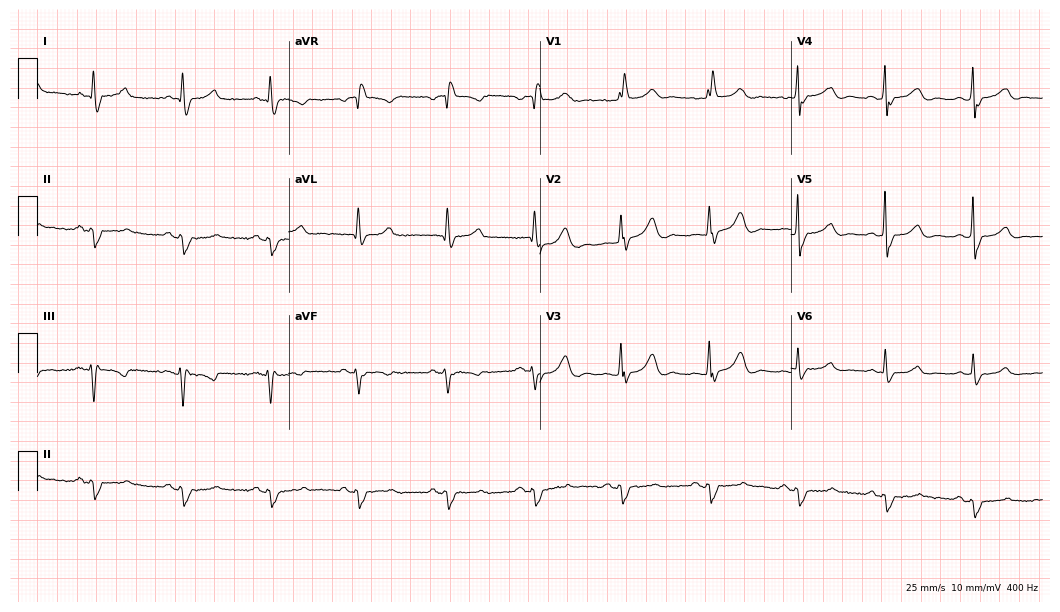
Standard 12-lead ECG recorded from a woman, 67 years old. The tracing shows right bundle branch block (RBBB).